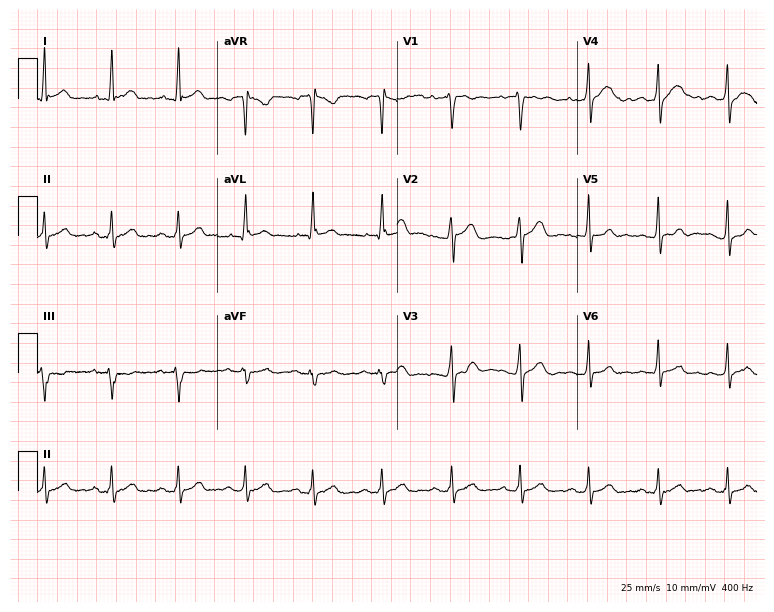
ECG — a male, 41 years old. Screened for six findings — first-degree AV block, right bundle branch block, left bundle branch block, sinus bradycardia, atrial fibrillation, sinus tachycardia — none is recorded. Other findings, if any, are not listed.